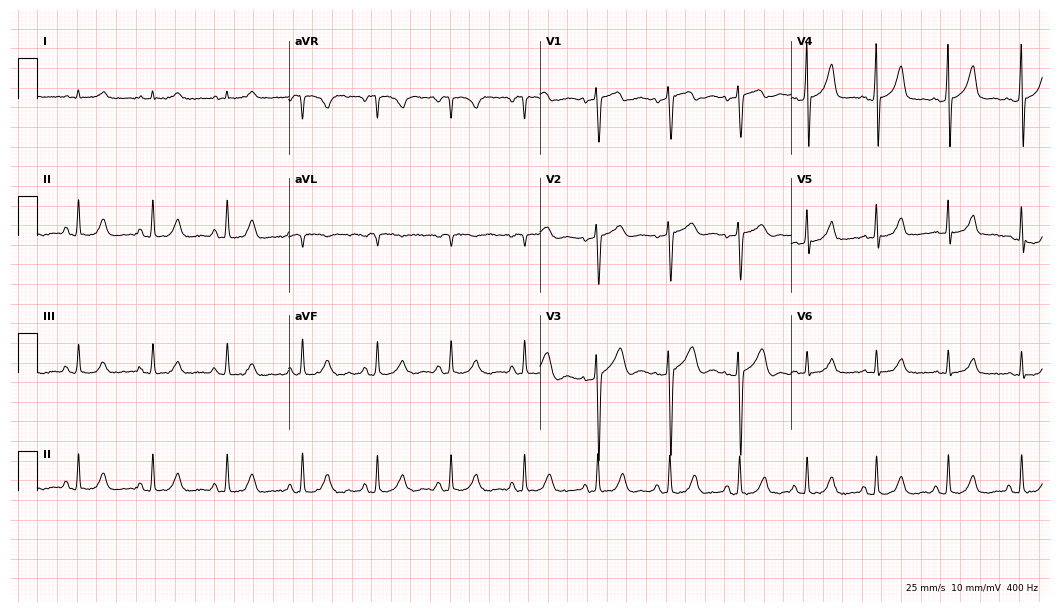
Resting 12-lead electrocardiogram. Patient: a 71-year-old man. None of these six findings is recorded: first-degree AV block, right bundle branch block, left bundle branch block, sinus bradycardia, atrial fibrillation, sinus tachycardia. Other findings, if any, are not listed.